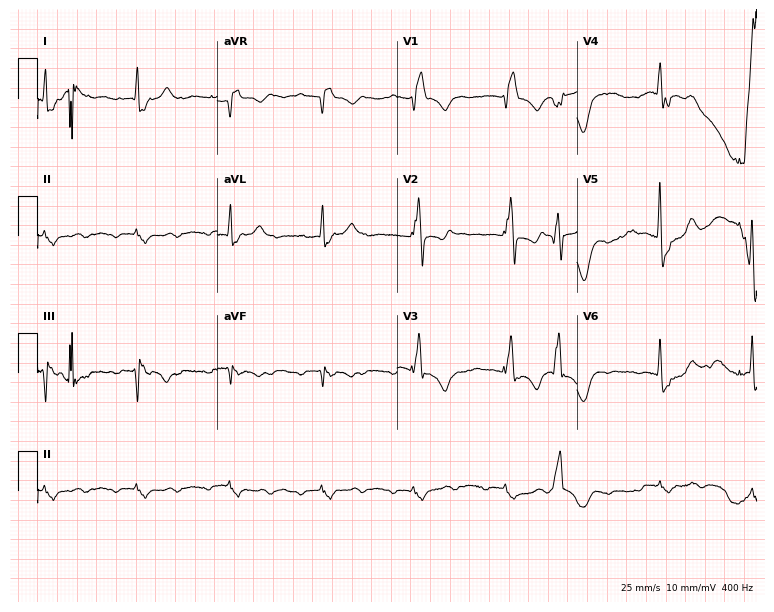
ECG (7.3-second recording at 400 Hz) — a male patient, 80 years old. Findings include right bundle branch block (RBBB).